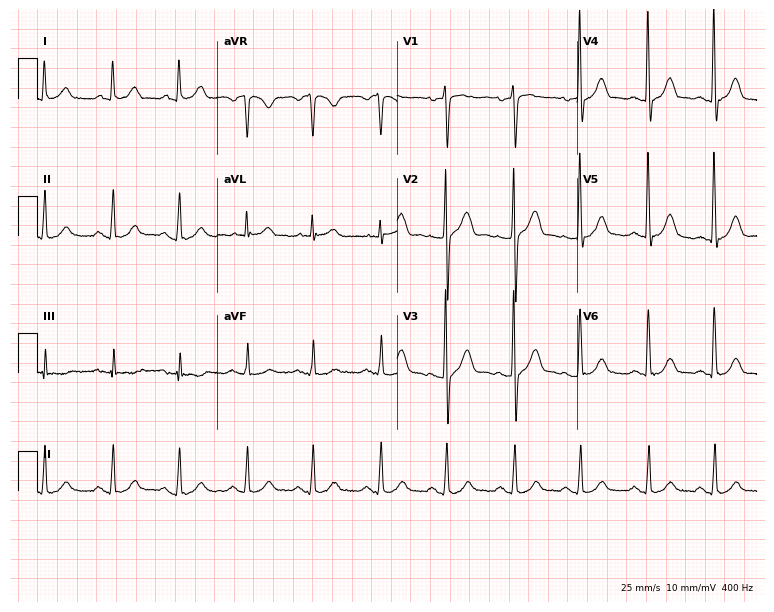
12-lead ECG from a man, 57 years old. No first-degree AV block, right bundle branch block (RBBB), left bundle branch block (LBBB), sinus bradycardia, atrial fibrillation (AF) or sinus tachycardia recorded for this tracing. Findings outside these six are not listed.